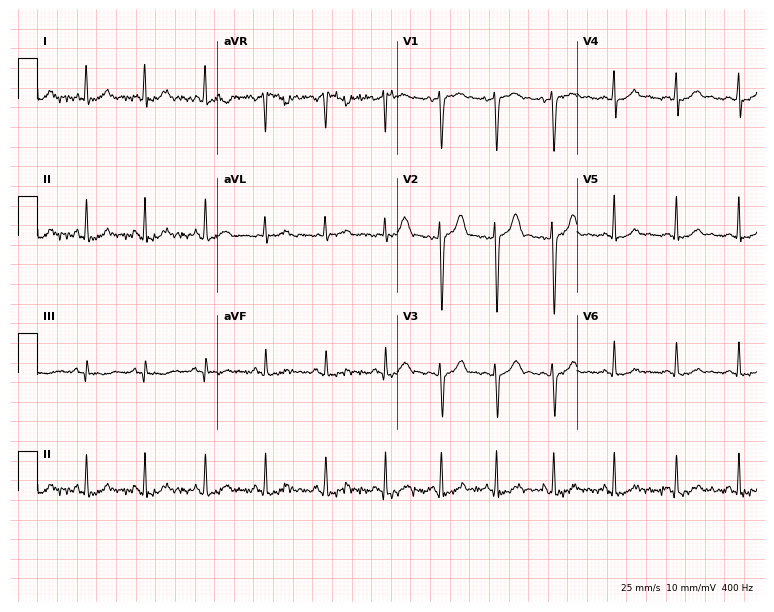
12-lead ECG (7.3-second recording at 400 Hz) from a female, 36 years old. Screened for six findings — first-degree AV block, right bundle branch block, left bundle branch block, sinus bradycardia, atrial fibrillation, sinus tachycardia — none is recorded.